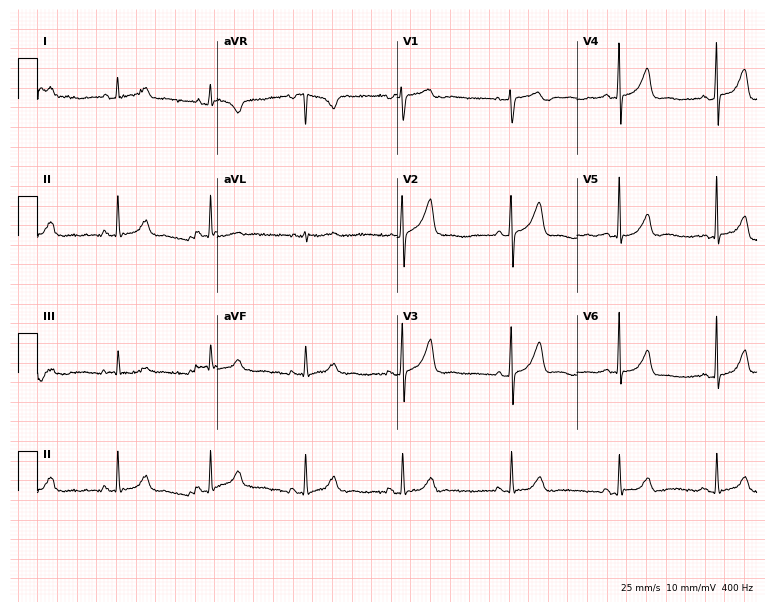
Electrocardiogram, a 57-year-old female patient. Overall reading on record: normal ECG.